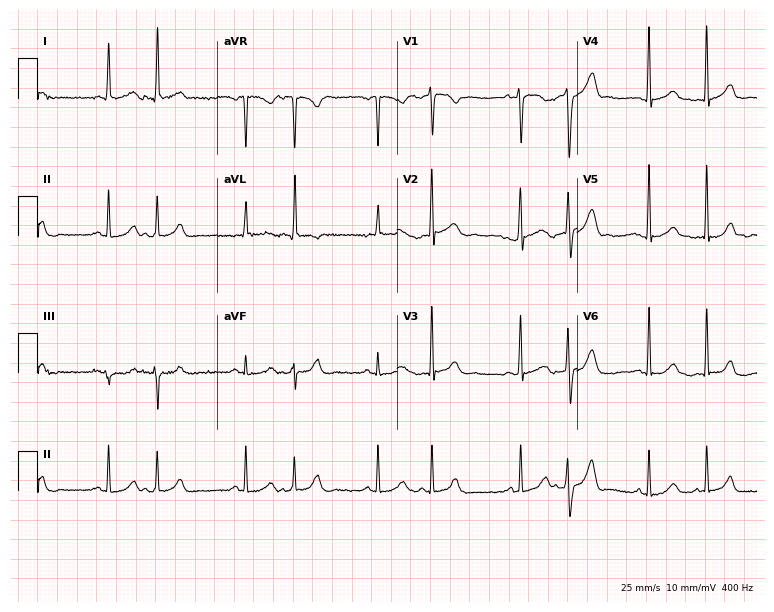
Resting 12-lead electrocardiogram (7.3-second recording at 400 Hz). Patient: a 34-year-old female. None of these six findings is recorded: first-degree AV block, right bundle branch block, left bundle branch block, sinus bradycardia, atrial fibrillation, sinus tachycardia. Only these six findings were labelled.